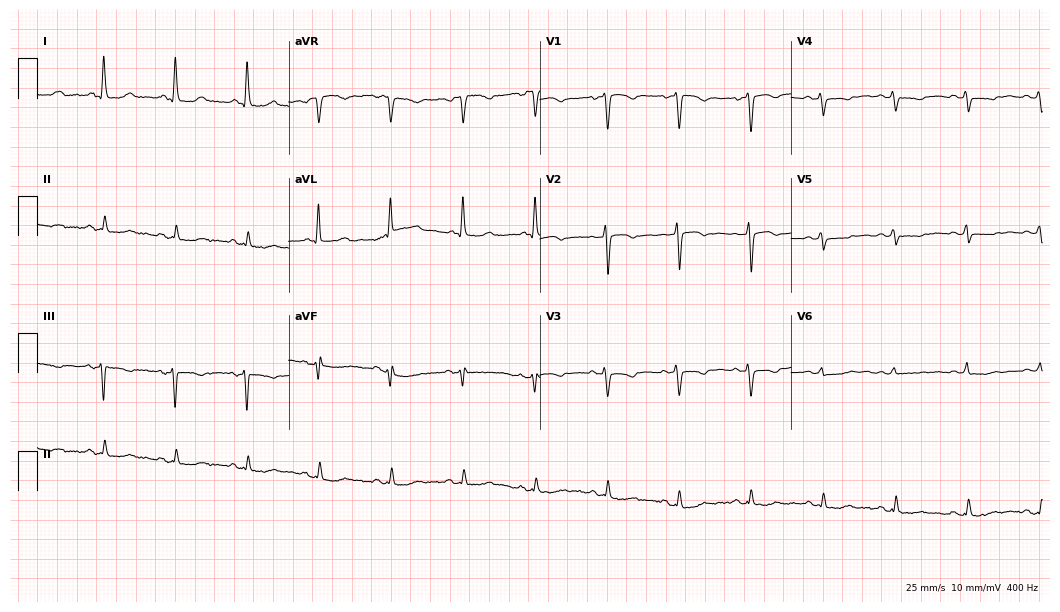
ECG — a female patient, 46 years old. Screened for six findings — first-degree AV block, right bundle branch block (RBBB), left bundle branch block (LBBB), sinus bradycardia, atrial fibrillation (AF), sinus tachycardia — none is recorded.